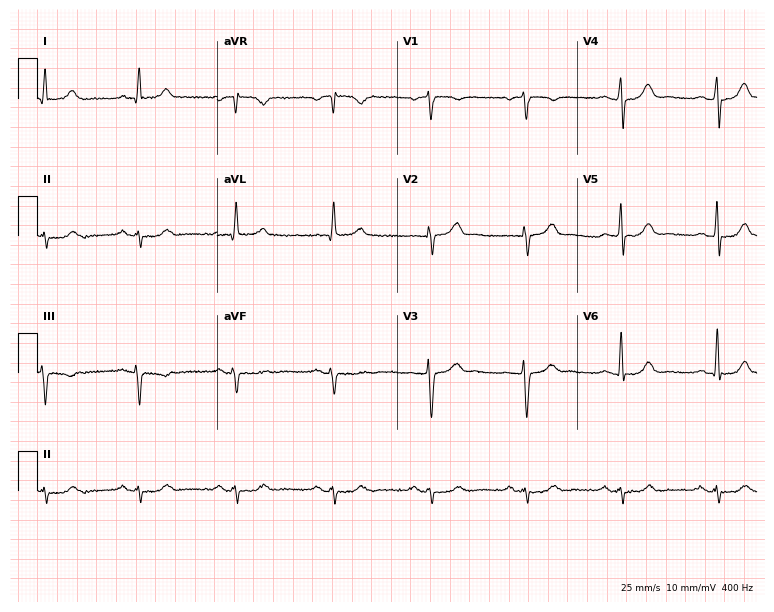
12-lead ECG from a man, 73 years old. Screened for six findings — first-degree AV block, right bundle branch block (RBBB), left bundle branch block (LBBB), sinus bradycardia, atrial fibrillation (AF), sinus tachycardia — none is recorded. Only these six findings were labelled.